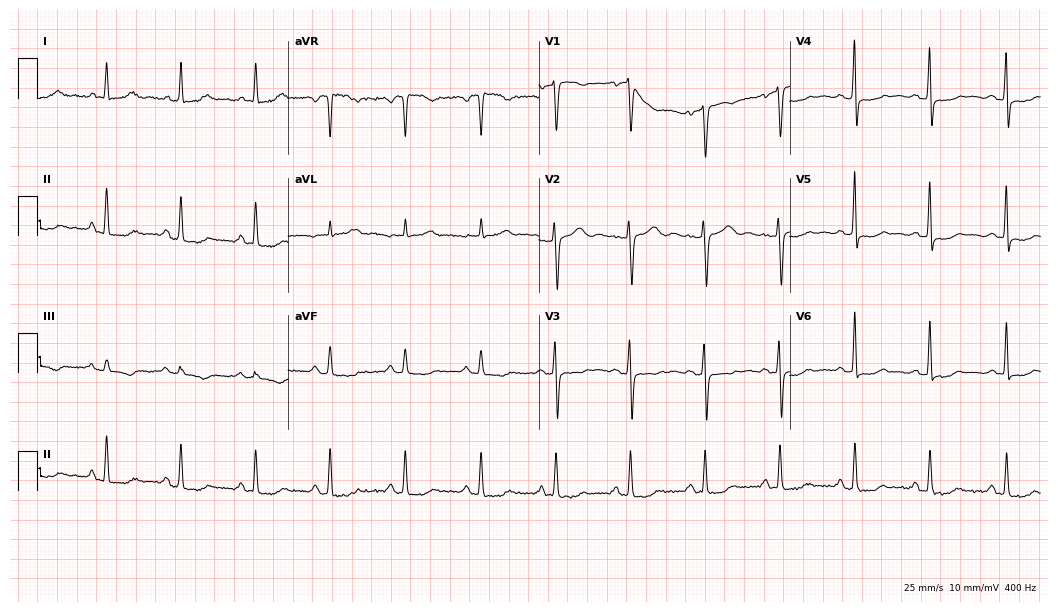
ECG (10.2-second recording at 400 Hz) — a woman, 56 years old. Screened for six findings — first-degree AV block, right bundle branch block, left bundle branch block, sinus bradycardia, atrial fibrillation, sinus tachycardia — none is recorded. Only these six findings were labelled.